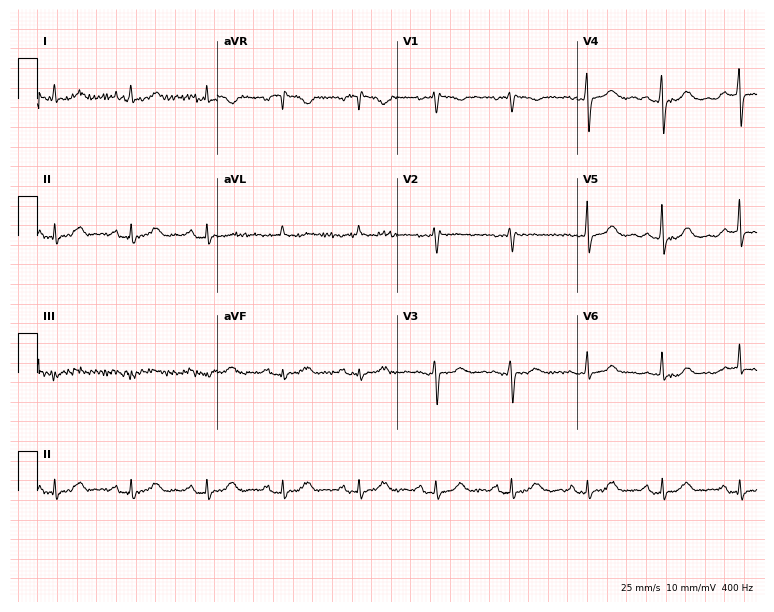
ECG — a 68-year-old female. Screened for six findings — first-degree AV block, right bundle branch block (RBBB), left bundle branch block (LBBB), sinus bradycardia, atrial fibrillation (AF), sinus tachycardia — none is recorded. Findings outside these six are not listed.